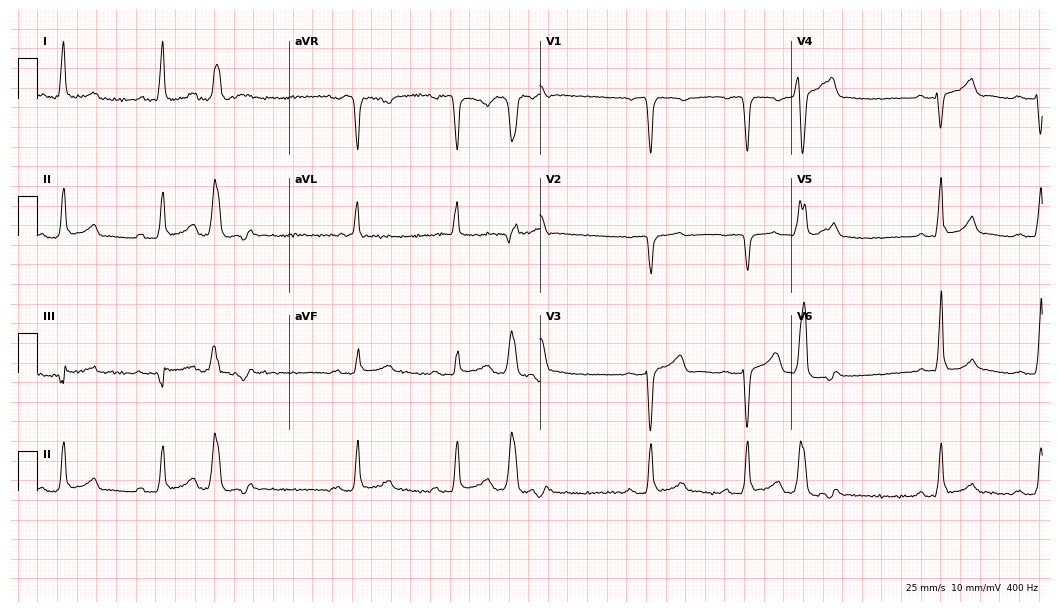
ECG — a female, 75 years old. Screened for six findings — first-degree AV block, right bundle branch block, left bundle branch block, sinus bradycardia, atrial fibrillation, sinus tachycardia — none is recorded.